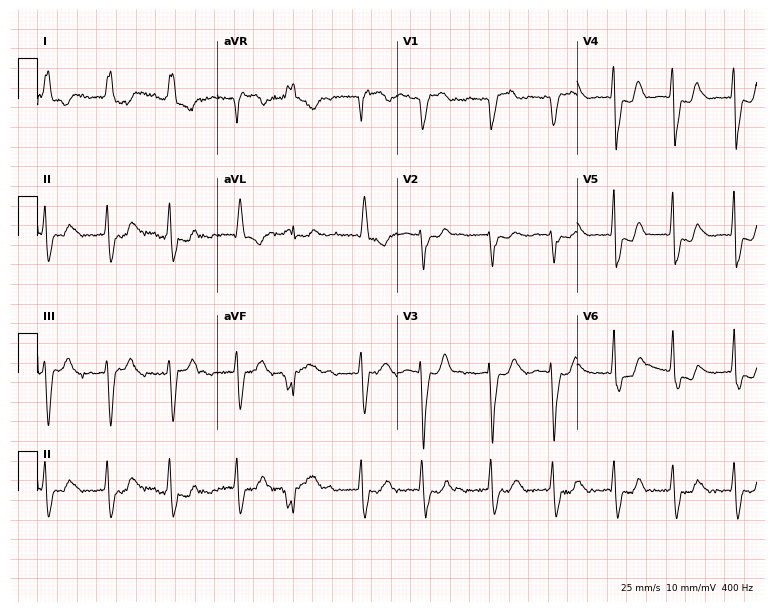
Standard 12-lead ECG recorded from a female, 72 years old. None of these six findings is recorded: first-degree AV block, right bundle branch block, left bundle branch block, sinus bradycardia, atrial fibrillation, sinus tachycardia. Other findings, if any, are not listed.